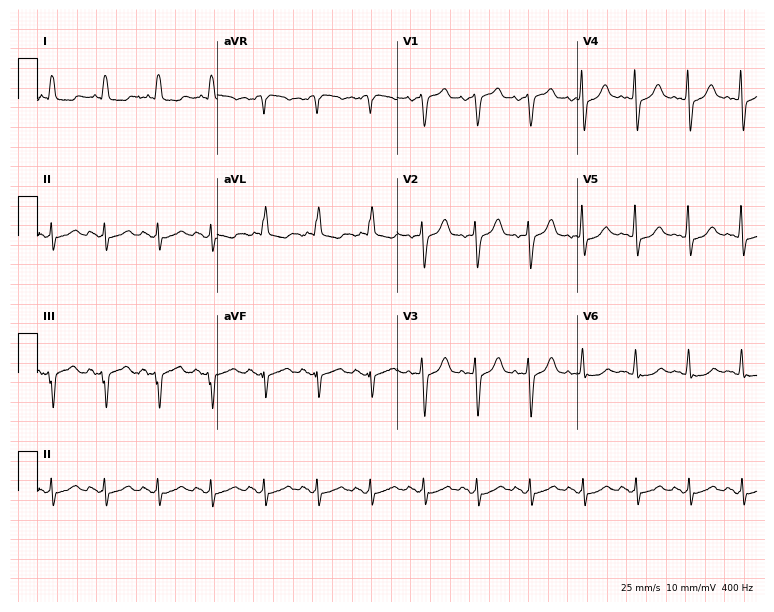
Resting 12-lead electrocardiogram (7.3-second recording at 400 Hz). Patient: a male, 67 years old. None of these six findings is recorded: first-degree AV block, right bundle branch block, left bundle branch block, sinus bradycardia, atrial fibrillation, sinus tachycardia. Other findings, if any, are not listed.